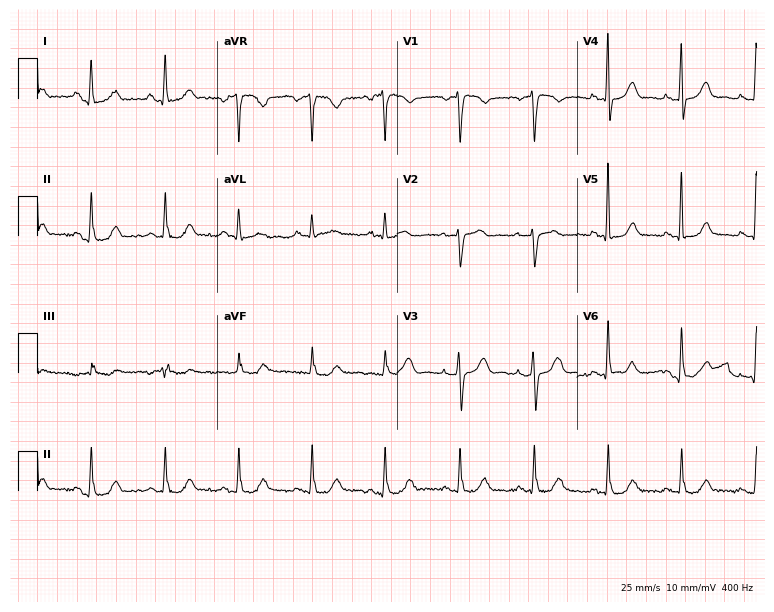
Electrocardiogram, a female patient, 70 years old. Overall reading on record: normal ECG.